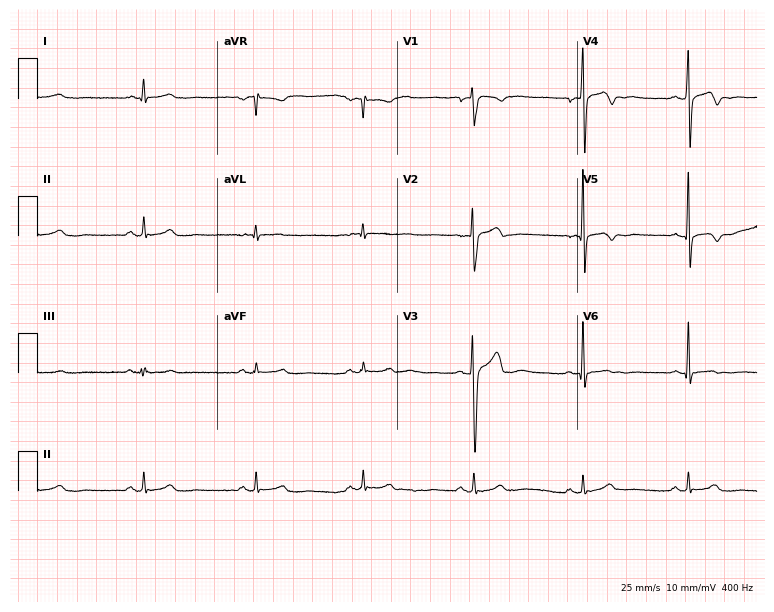
12-lead ECG from a woman, 31 years old. No first-degree AV block, right bundle branch block, left bundle branch block, sinus bradycardia, atrial fibrillation or sinus tachycardia recorded for this tracing.